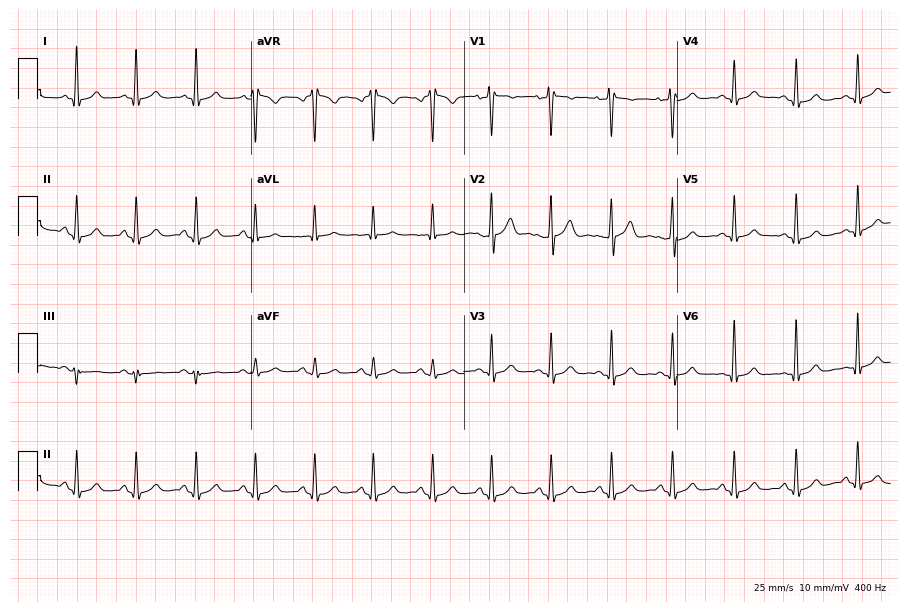
Electrocardiogram (8.7-second recording at 400 Hz), a female, 40 years old. Of the six screened findings (first-degree AV block, right bundle branch block (RBBB), left bundle branch block (LBBB), sinus bradycardia, atrial fibrillation (AF), sinus tachycardia), none is recorded. Findings outside these six are not listed.